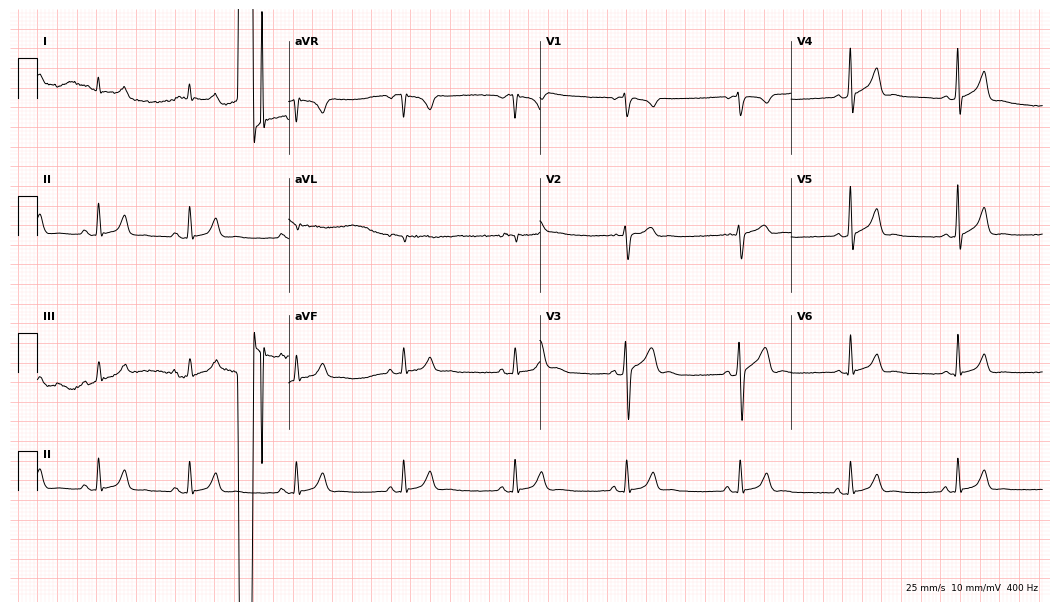
12-lead ECG from a 36-year-old male patient (10.2-second recording at 400 Hz). No first-degree AV block, right bundle branch block, left bundle branch block, sinus bradycardia, atrial fibrillation or sinus tachycardia recorded for this tracing.